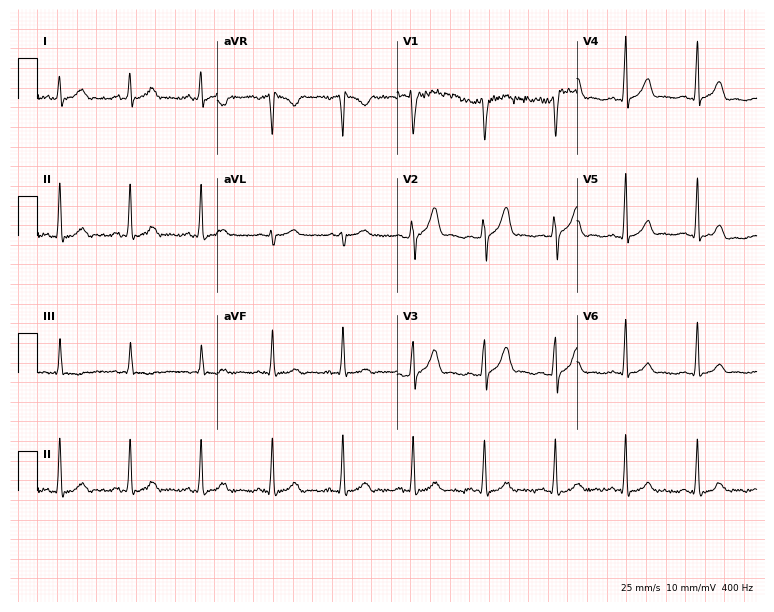
Standard 12-lead ECG recorded from a man, 22 years old. Read as a normal ECG.